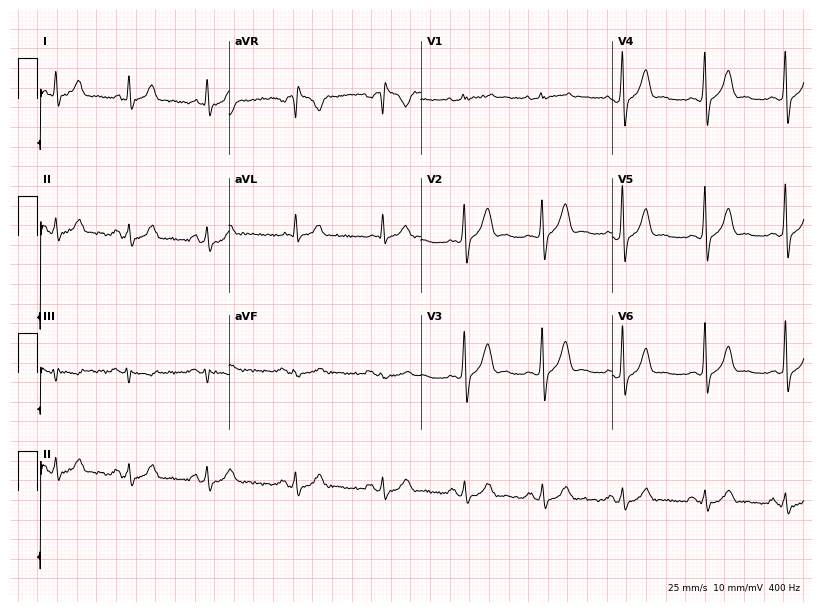
ECG — a man, 49 years old. Screened for six findings — first-degree AV block, right bundle branch block (RBBB), left bundle branch block (LBBB), sinus bradycardia, atrial fibrillation (AF), sinus tachycardia — none is recorded. Other findings, if any, are not listed.